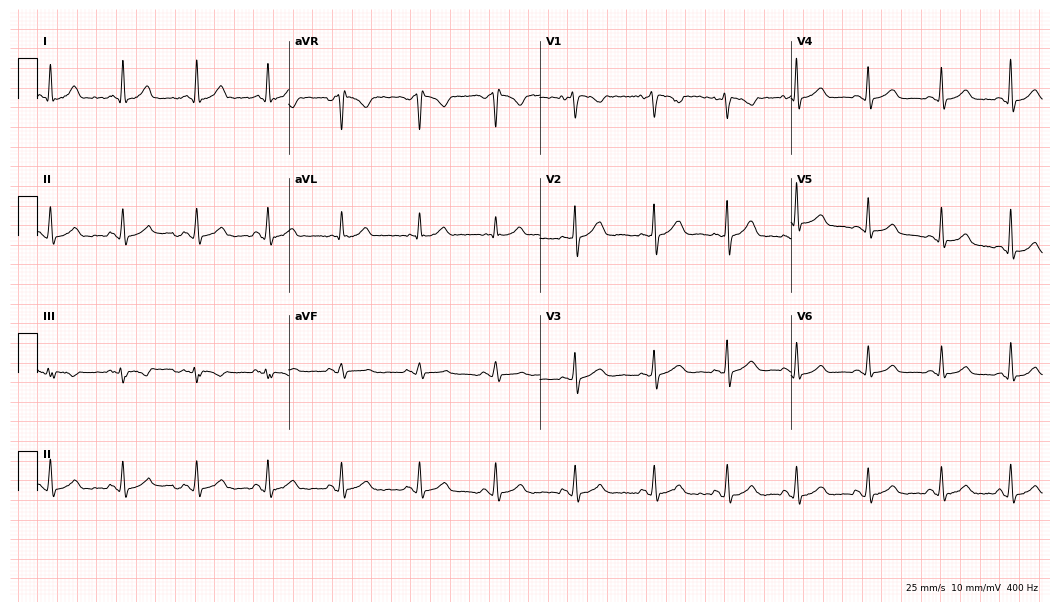
12-lead ECG (10.2-second recording at 400 Hz) from a 33-year-old woman. Labelled as a normal ECG.